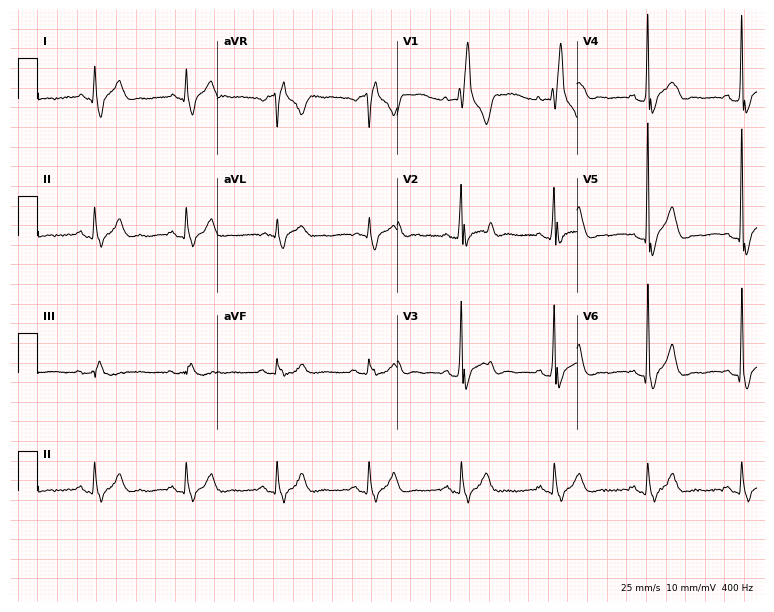
Electrocardiogram, a 55-year-old male. Interpretation includes right bundle branch block.